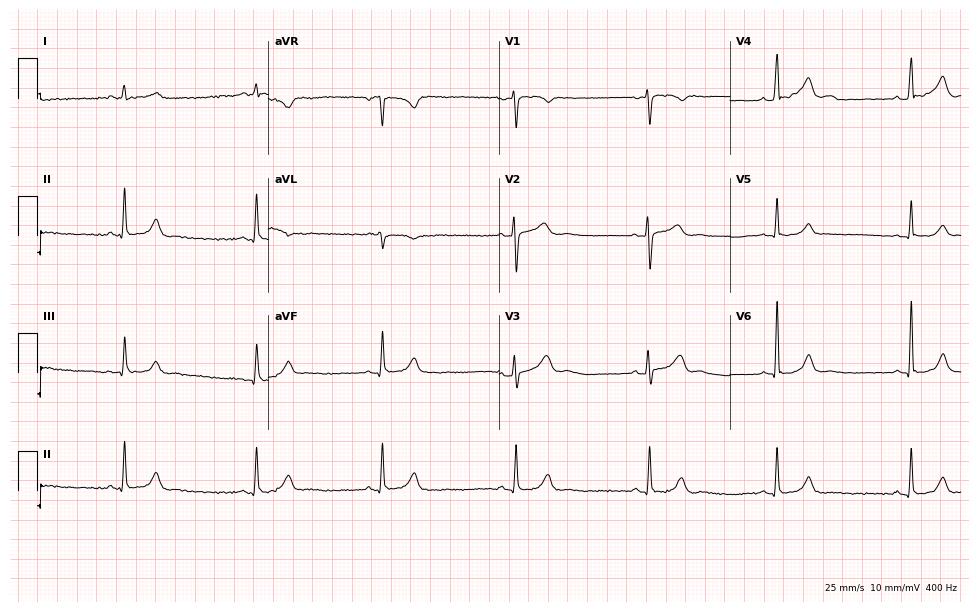
12-lead ECG from a 34-year-old female (9.4-second recording at 400 Hz). Shows sinus bradycardia (a sinus rate of 50 beats per minute or less).